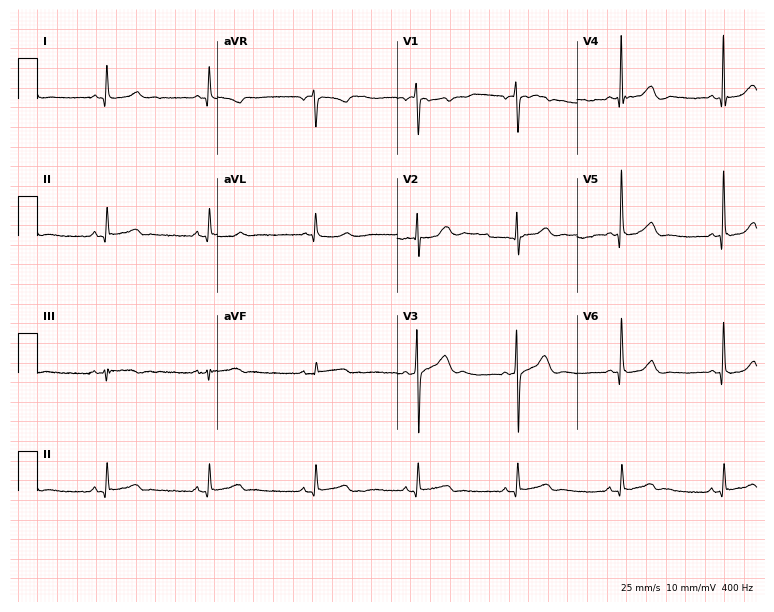
12-lead ECG from a male, 69 years old. Labelled as a normal ECG.